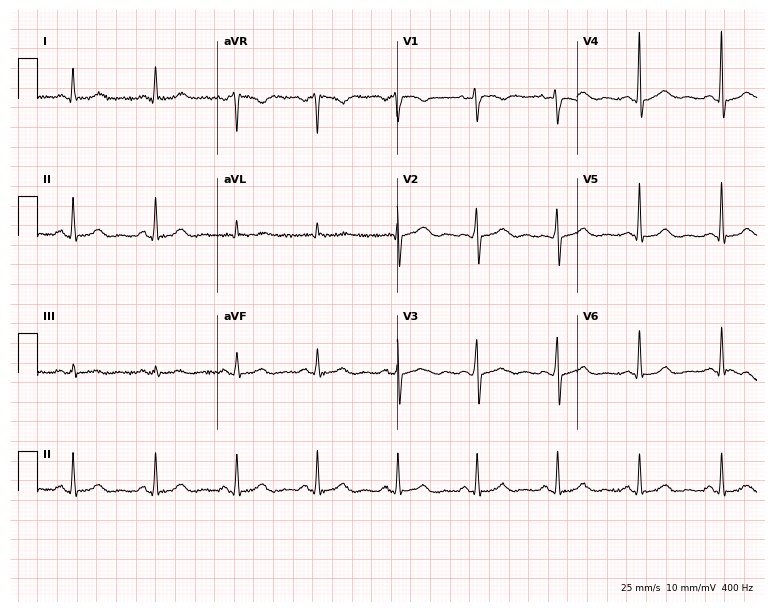
ECG (7.3-second recording at 400 Hz) — a female, 59 years old. Labelled as a normal ECG.